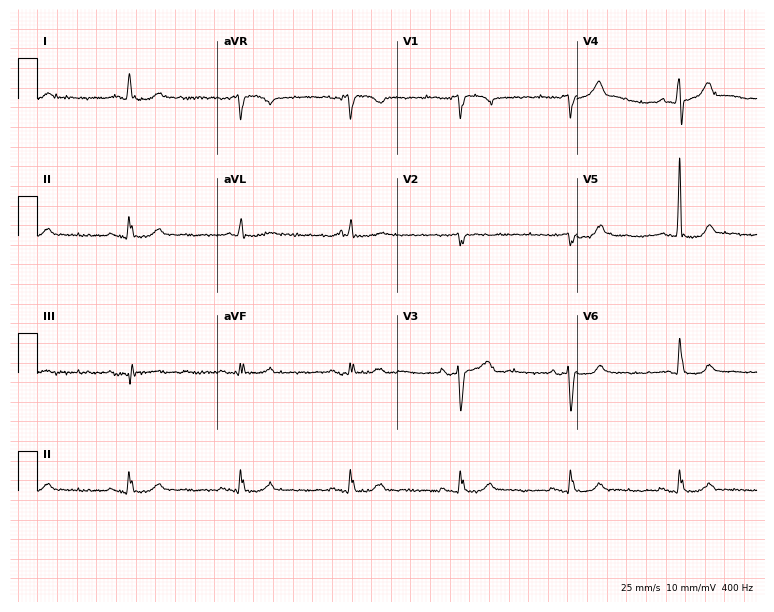
Resting 12-lead electrocardiogram (7.3-second recording at 400 Hz). Patient: a male, 81 years old. Read as a normal ECG.